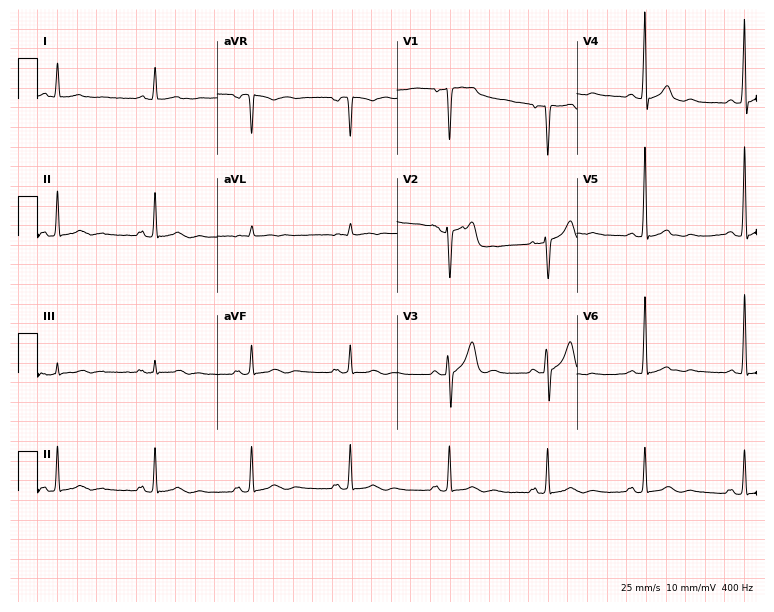
12-lead ECG (7.3-second recording at 400 Hz) from a 68-year-old woman. Screened for six findings — first-degree AV block, right bundle branch block, left bundle branch block, sinus bradycardia, atrial fibrillation, sinus tachycardia — none is recorded. Other findings, if any, are not listed.